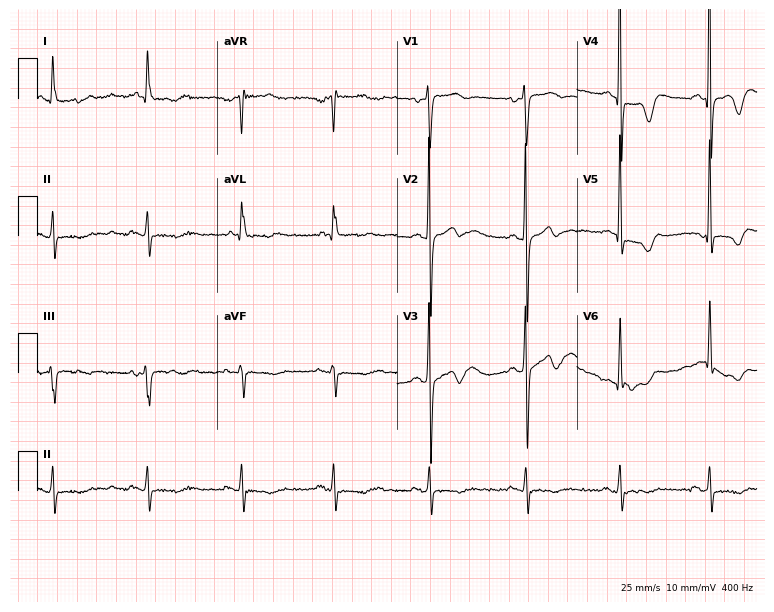
Resting 12-lead electrocardiogram. Patient: a female, 67 years old. None of these six findings is recorded: first-degree AV block, right bundle branch block, left bundle branch block, sinus bradycardia, atrial fibrillation, sinus tachycardia. Only these six findings were labelled.